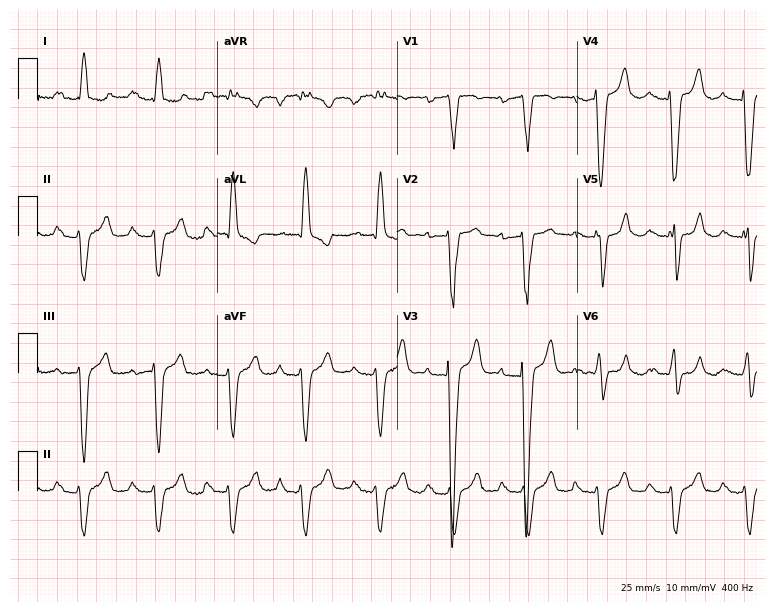
Resting 12-lead electrocardiogram. Patient: a 58-year-old male. None of these six findings is recorded: first-degree AV block, right bundle branch block (RBBB), left bundle branch block (LBBB), sinus bradycardia, atrial fibrillation (AF), sinus tachycardia.